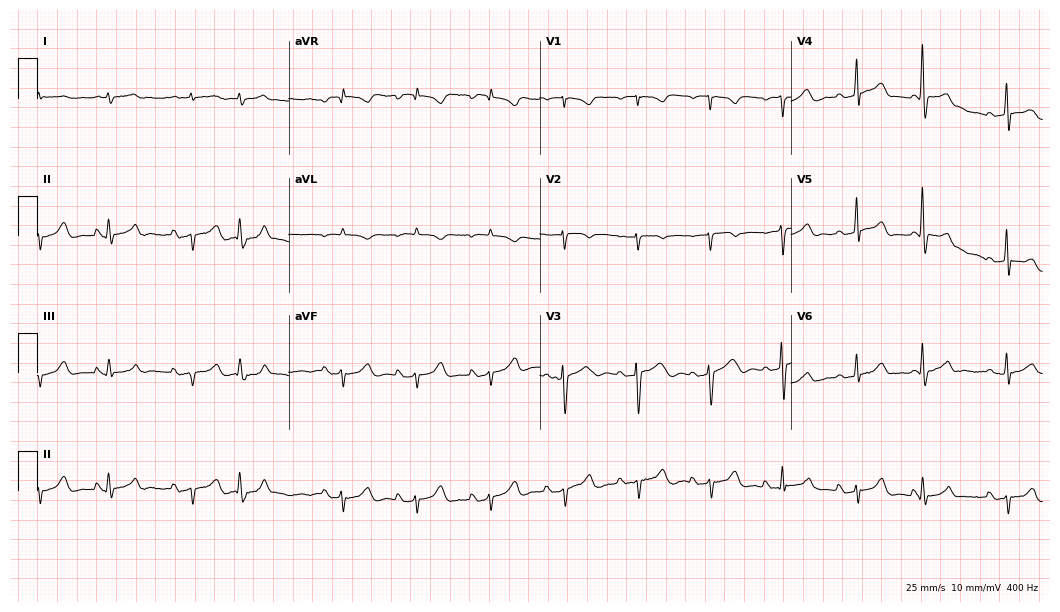
ECG (10.2-second recording at 400 Hz) — a male patient, 73 years old. Screened for six findings — first-degree AV block, right bundle branch block (RBBB), left bundle branch block (LBBB), sinus bradycardia, atrial fibrillation (AF), sinus tachycardia — none is recorded. Other findings, if any, are not listed.